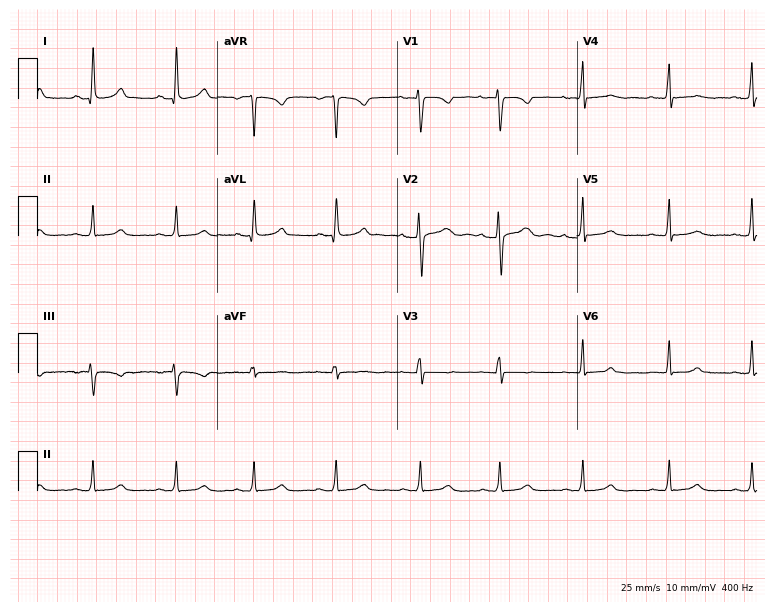
Resting 12-lead electrocardiogram. Patient: a female, 27 years old. Read as a normal ECG.